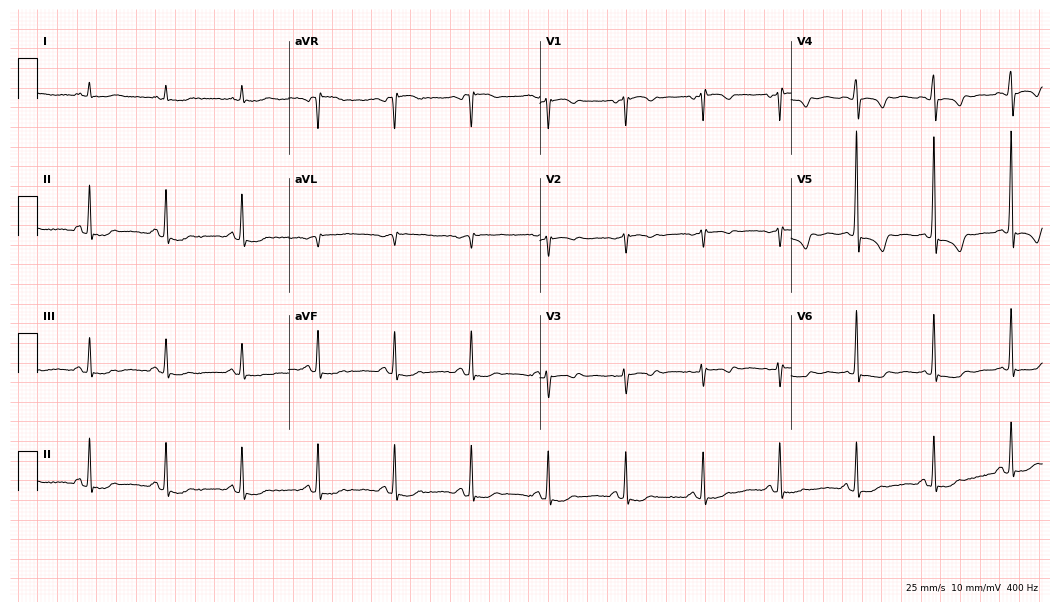
12-lead ECG (10.2-second recording at 400 Hz) from an 81-year-old woman. Screened for six findings — first-degree AV block, right bundle branch block, left bundle branch block, sinus bradycardia, atrial fibrillation, sinus tachycardia — none is recorded. Other findings, if any, are not listed.